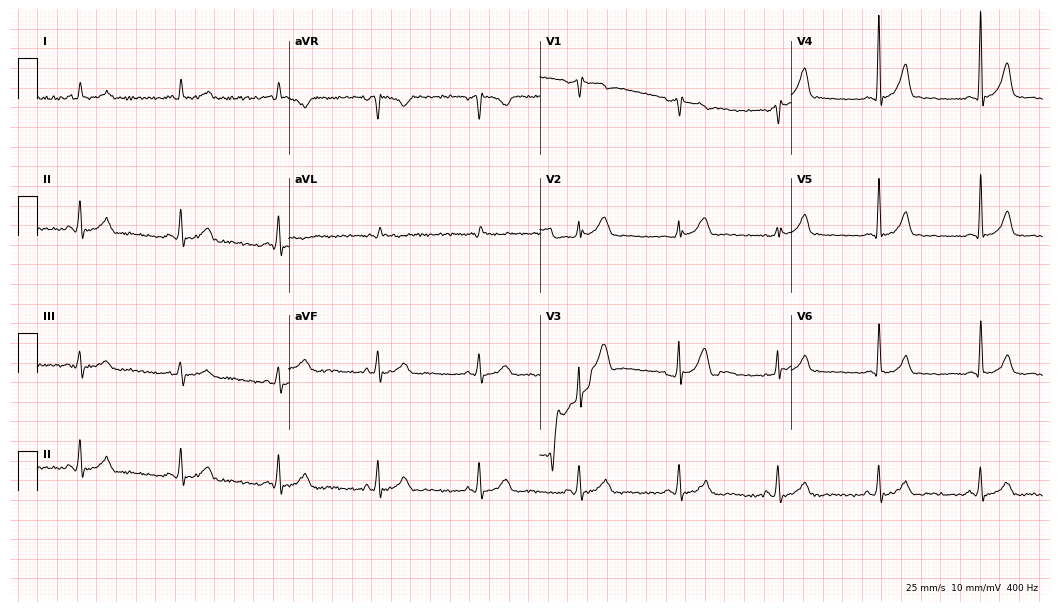
Resting 12-lead electrocardiogram (10.2-second recording at 400 Hz). Patient: a male, 57 years old. None of these six findings is recorded: first-degree AV block, right bundle branch block, left bundle branch block, sinus bradycardia, atrial fibrillation, sinus tachycardia. Other findings, if any, are not listed.